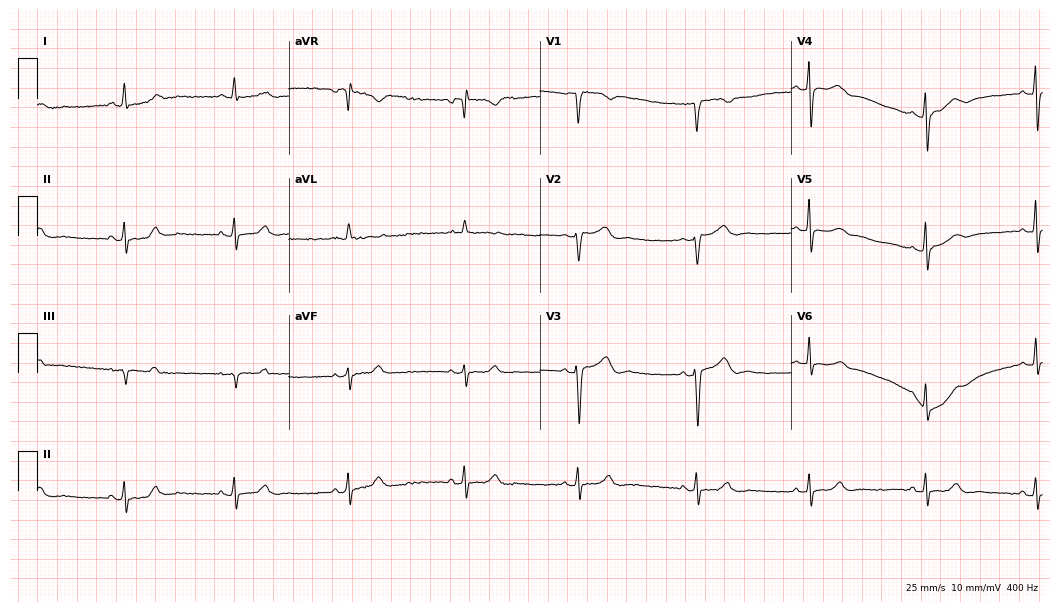
Standard 12-lead ECG recorded from a 50-year-old female (10.2-second recording at 400 Hz). Read as a normal ECG.